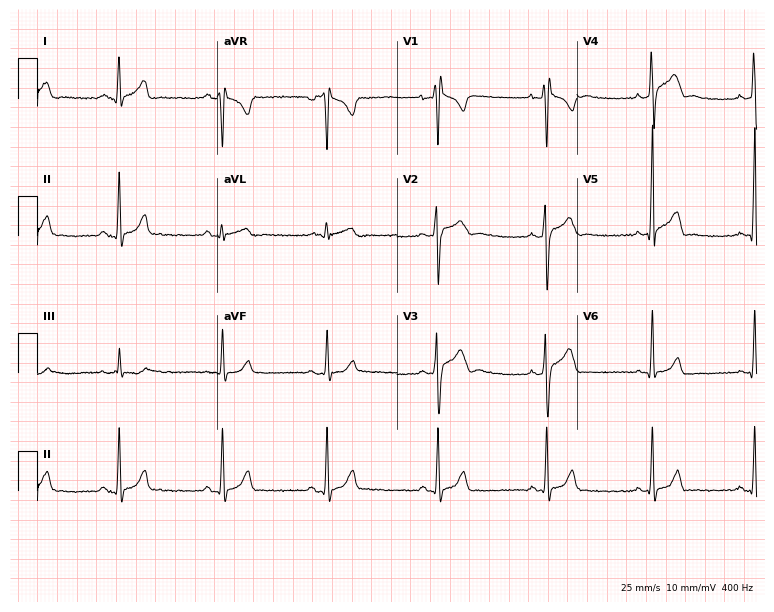
Resting 12-lead electrocardiogram (7.3-second recording at 400 Hz). Patient: a man, 19 years old. Read as a normal ECG.